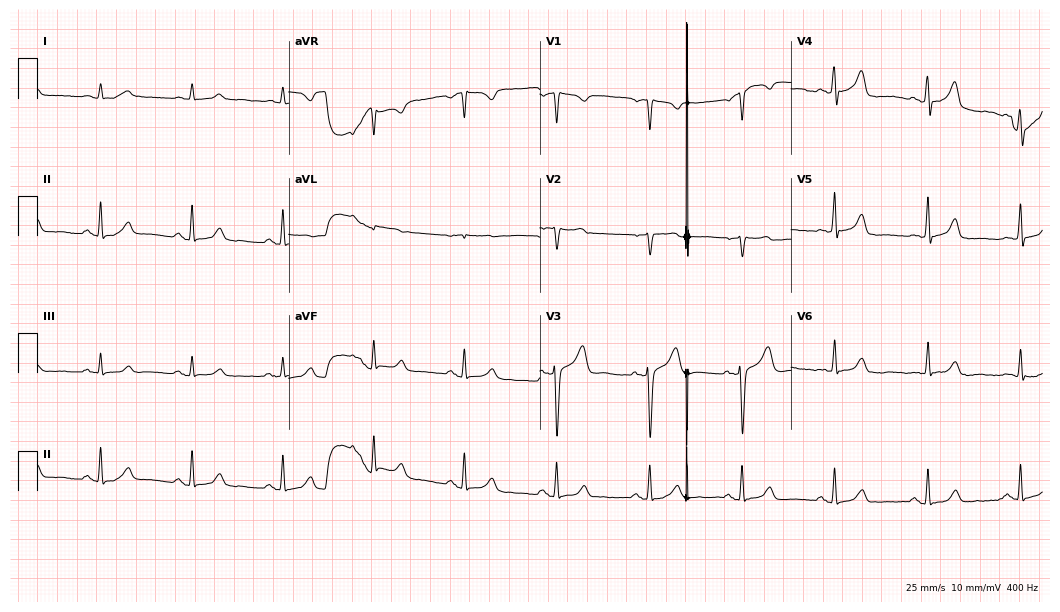
12-lead ECG (10.2-second recording at 400 Hz) from a 73-year-old male. Labelled as a normal ECG.